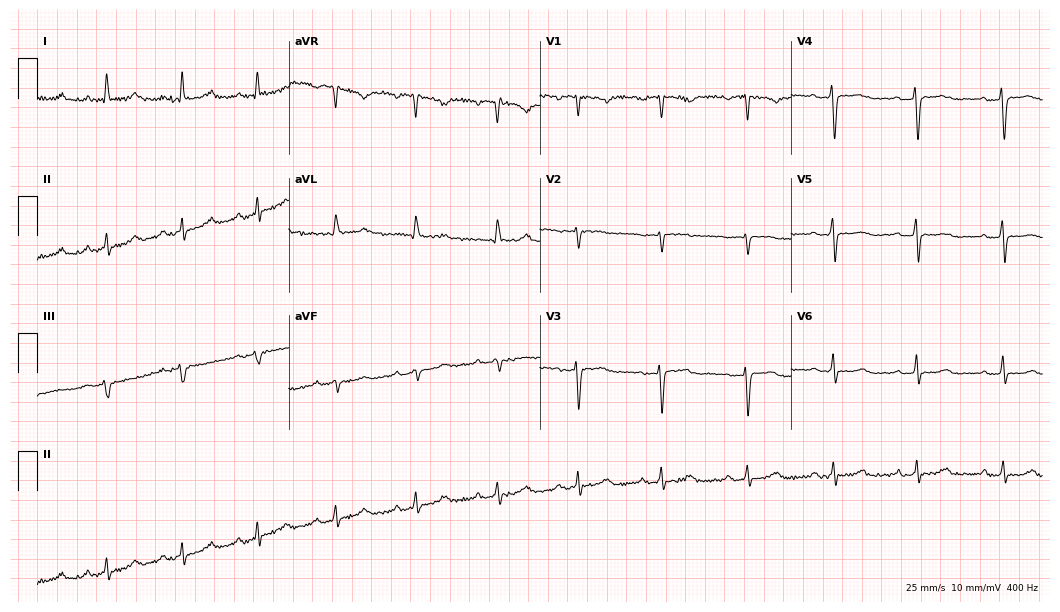
Standard 12-lead ECG recorded from a 56-year-old female patient (10.2-second recording at 400 Hz). None of these six findings is recorded: first-degree AV block, right bundle branch block, left bundle branch block, sinus bradycardia, atrial fibrillation, sinus tachycardia.